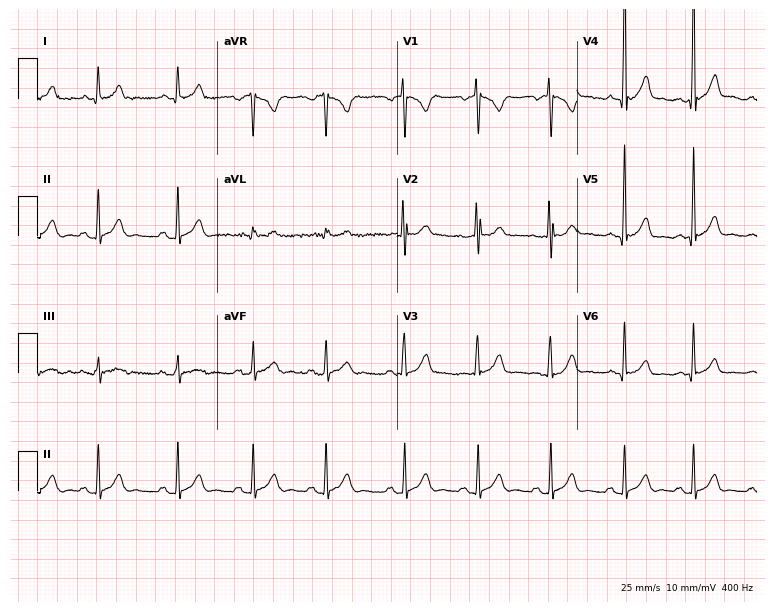
ECG — a 24-year-old male. Labelled as a normal ECG.